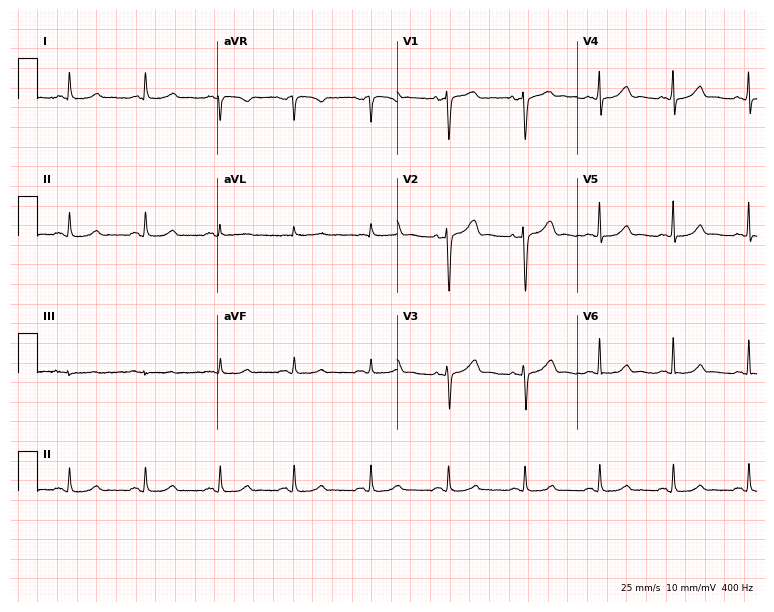
12-lead ECG from a female, 51 years old. Recorded interpretation: within normal limits.